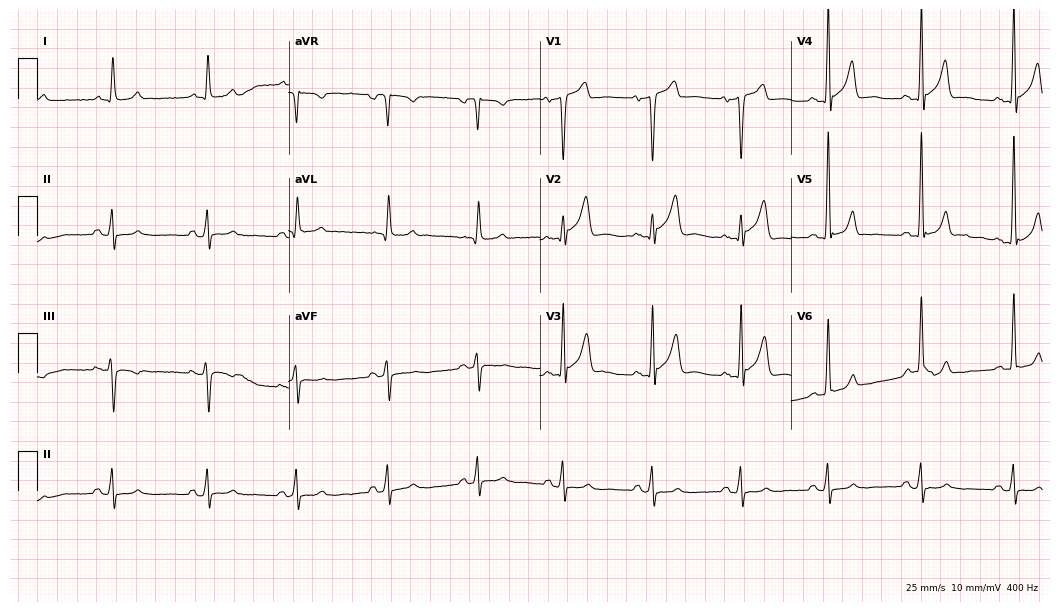
12-lead ECG from a male, 61 years old (10.2-second recording at 400 Hz). No first-degree AV block, right bundle branch block, left bundle branch block, sinus bradycardia, atrial fibrillation or sinus tachycardia recorded for this tracing. Findings outside these six are not listed.